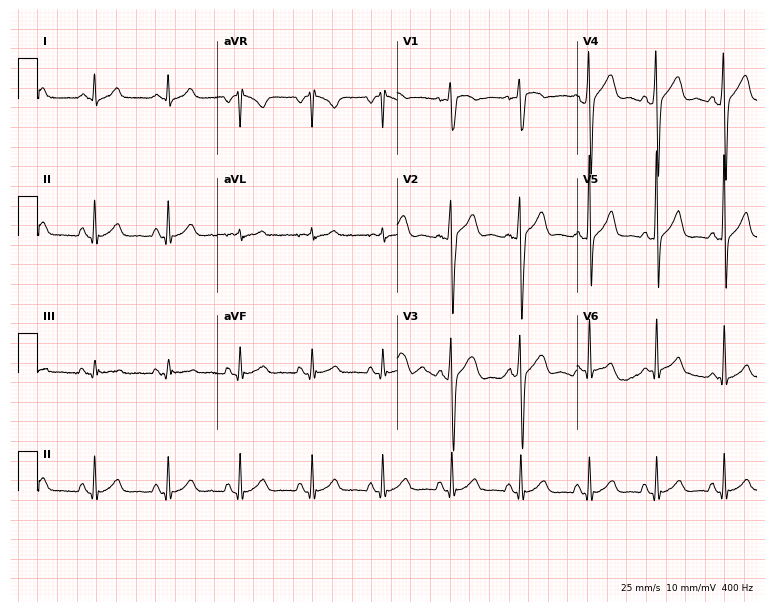
Standard 12-lead ECG recorded from a 31-year-old man. Read as a normal ECG.